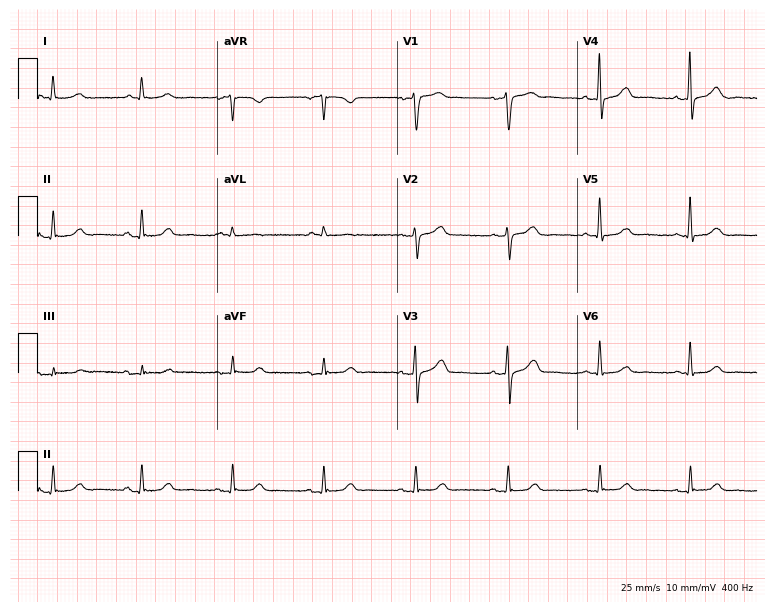
Standard 12-lead ECG recorded from a 73-year-old male (7.3-second recording at 400 Hz). Read as a normal ECG.